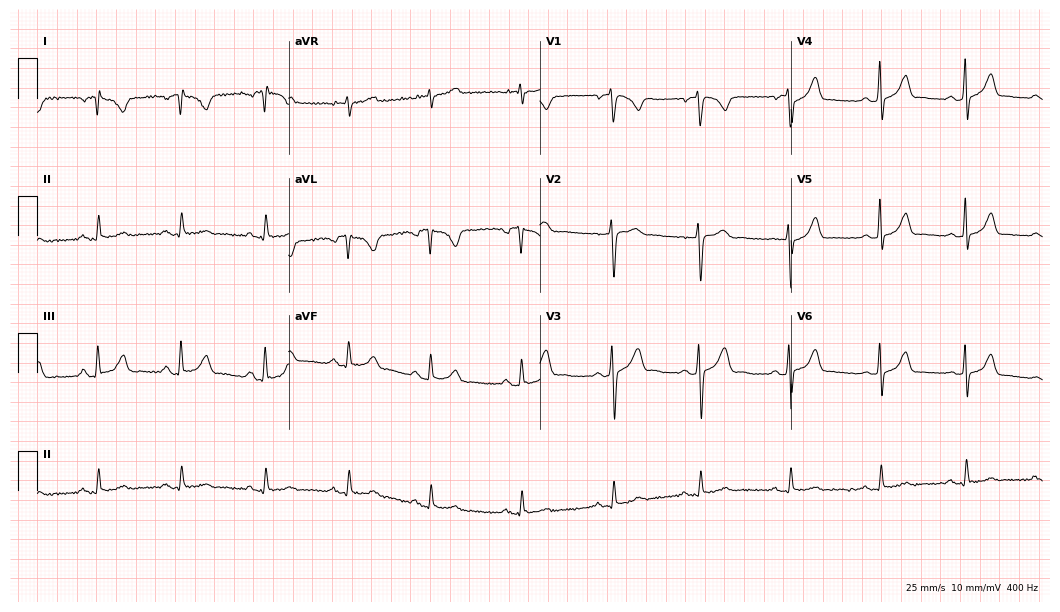
ECG — a male, 31 years old. Labelled as a normal ECG.